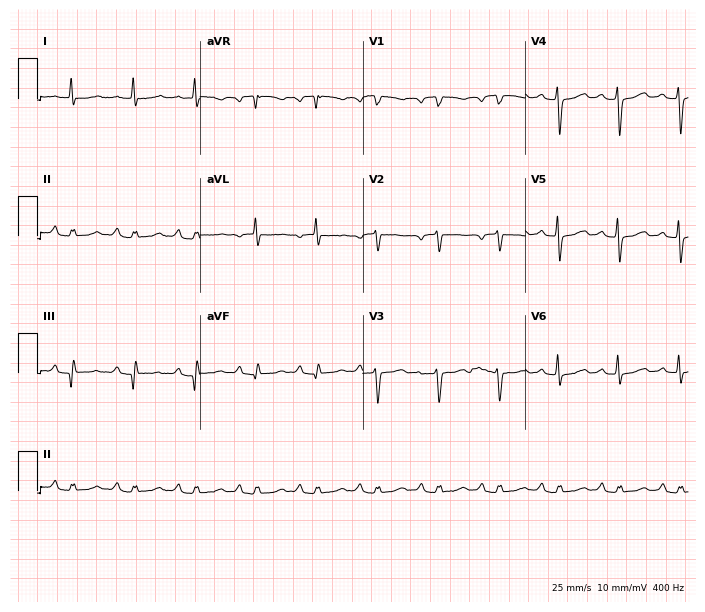
Electrocardiogram (6.6-second recording at 400 Hz), a female, 69 years old. Of the six screened findings (first-degree AV block, right bundle branch block, left bundle branch block, sinus bradycardia, atrial fibrillation, sinus tachycardia), none is recorded.